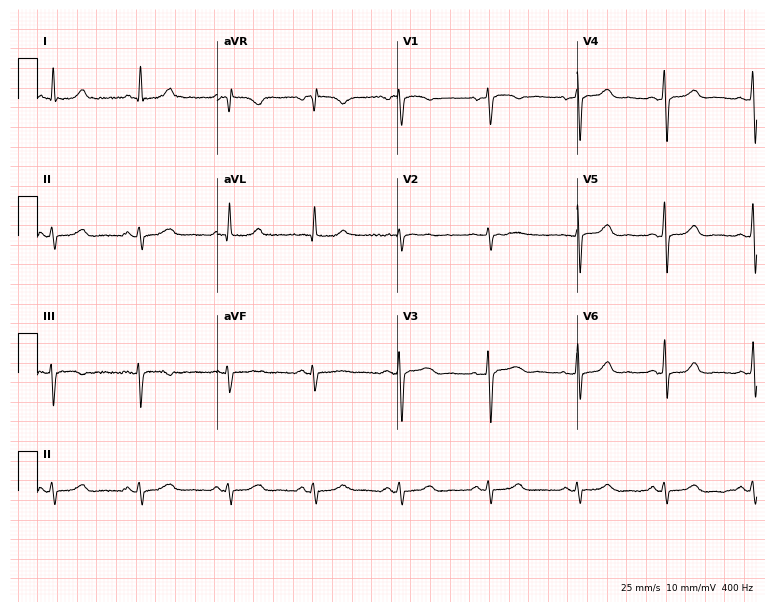
Resting 12-lead electrocardiogram (7.3-second recording at 400 Hz). Patient: a female, 66 years old. None of these six findings is recorded: first-degree AV block, right bundle branch block (RBBB), left bundle branch block (LBBB), sinus bradycardia, atrial fibrillation (AF), sinus tachycardia. Findings outside these six are not listed.